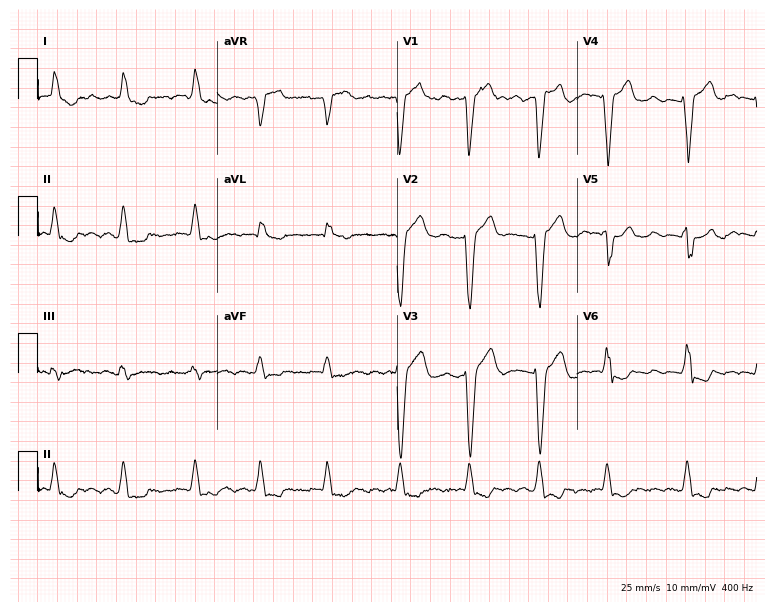
Electrocardiogram (7.3-second recording at 400 Hz), an 83-year-old woman. Interpretation includes left bundle branch block, atrial fibrillation.